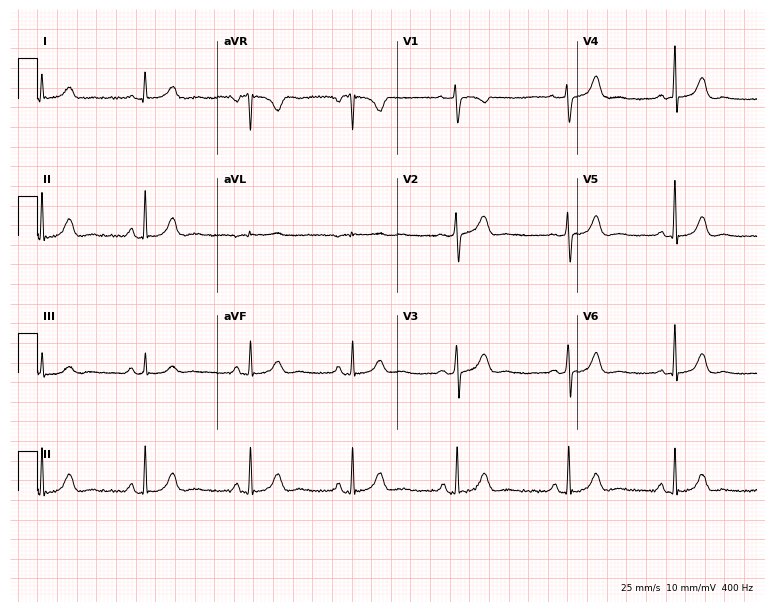
12-lead ECG from a 51-year-old woman (7.3-second recording at 400 Hz). Recorded interpretation: within normal limits.